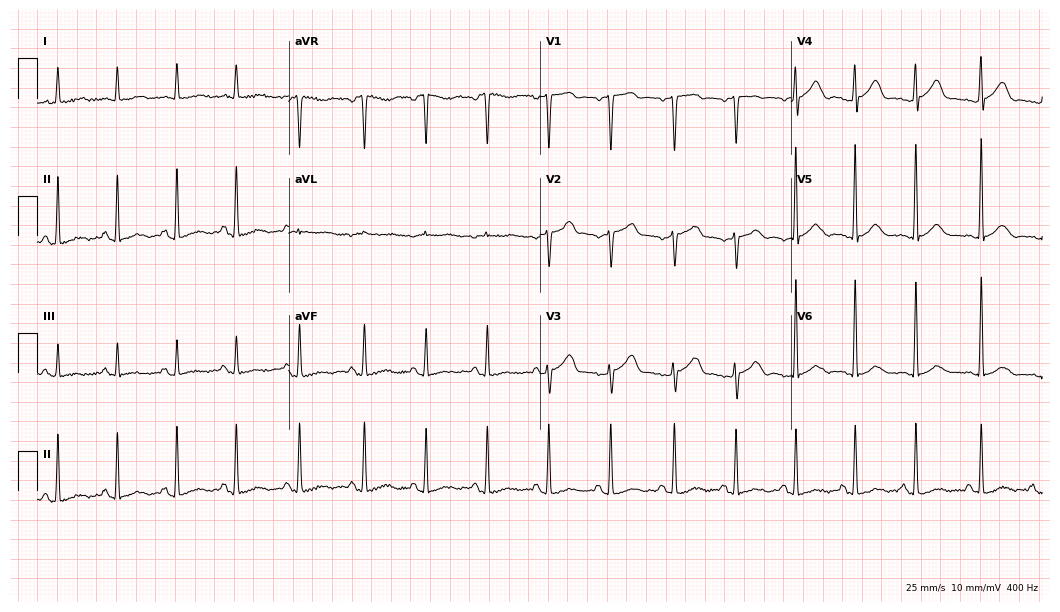
Electrocardiogram, a woman, 55 years old. Of the six screened findings (first-degree AV block, right bundle branch block, left bundle branch block, sinus bradycardia, atrial fibrillation, sinus tachycardia), none is recorded.